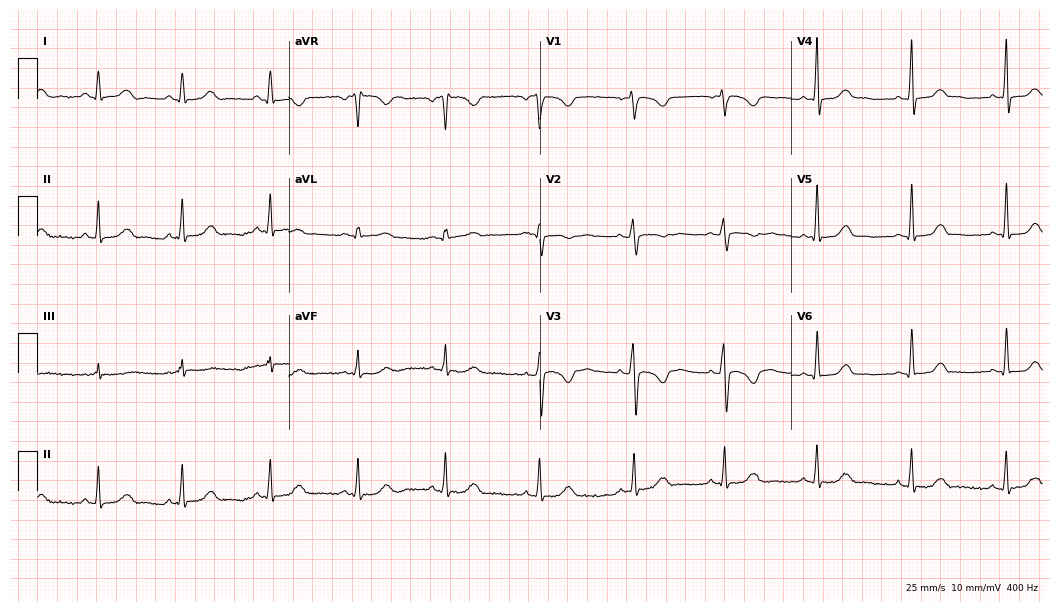
Standard 12-lead ECG recorded from a 27-year-old female (10.2-second recording at 400 Hz). None of these six findings is recorded: first-degree AV block, right bundle branch block, left bundle branch block, sinus bradycardia, atrial fibrillation, sinus tachycardia. Findings outside these six are not listed.